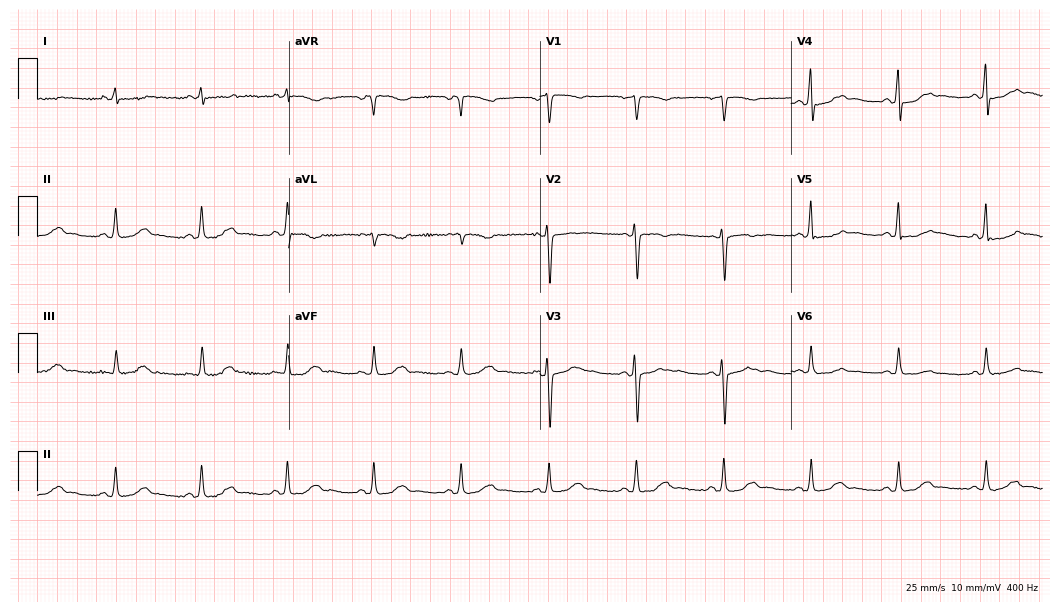
12-lead ECG from a female, 64 years old. No first-degree AV block, right bundle branch block, left bundle branch block, sinus bradycardia, atrial fibrillation or sinus tachycardia recorded for this tracing. Other findings, if any, are not listed.